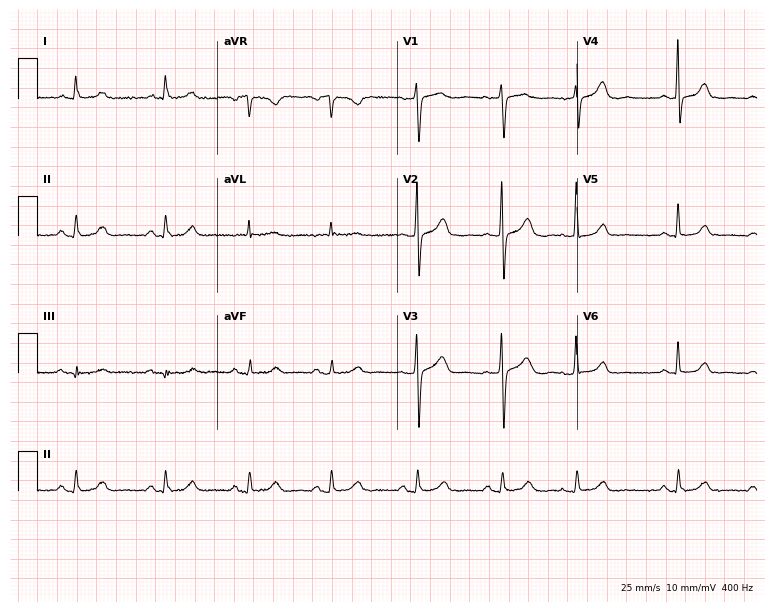
Standard 12-lead ECG recorded from a female patient, 68 years old. Read as a normal ECG.